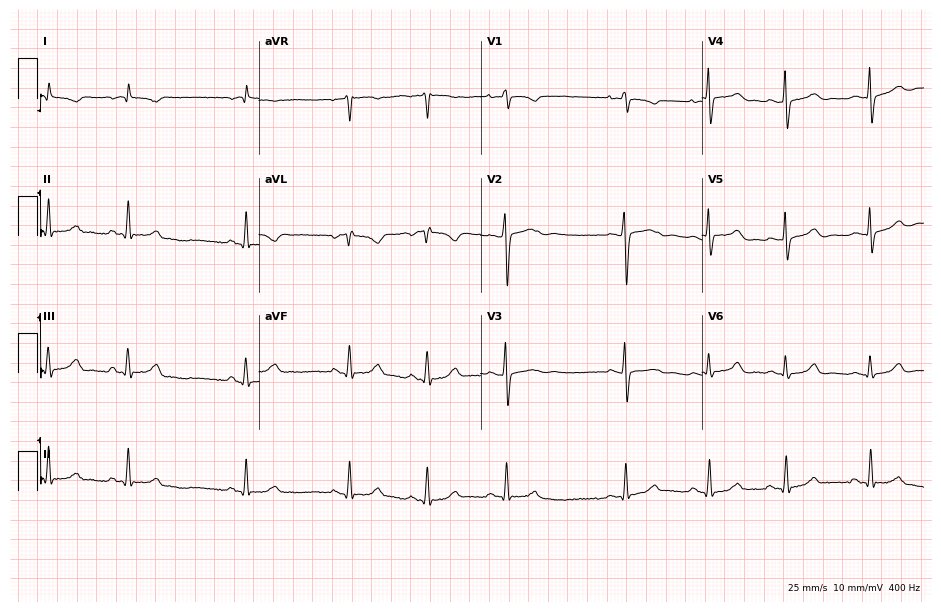
12-lead ECG from a 20-year-old female patient. Labelled as a normal ECG.